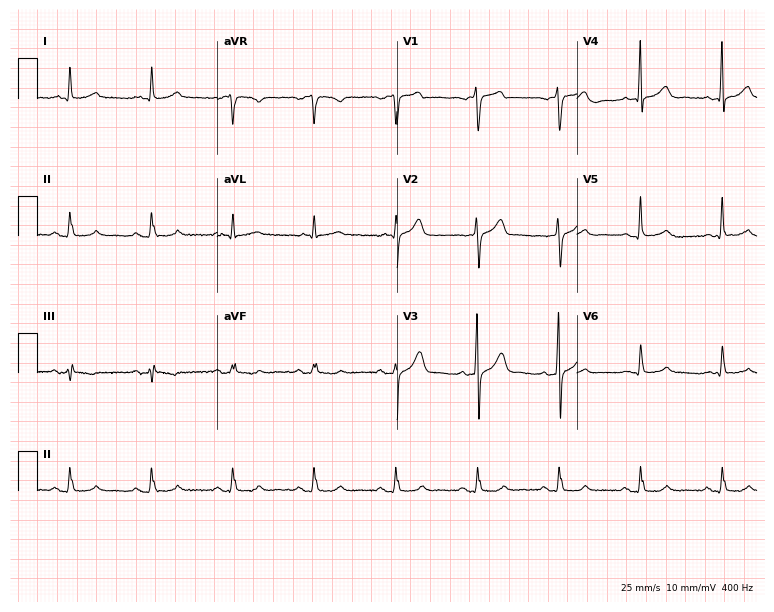
Electrocardiogram (7.3-second recording at 400 Hz), a male patient, 80 years old. Of the six screened findings (first-degree AV block, right bundle branch block, left bundle branch block, sinus bradycardia, atrial fibrillation, sinus tachycardia), none is recorded. Other findings, if any, are not listed.